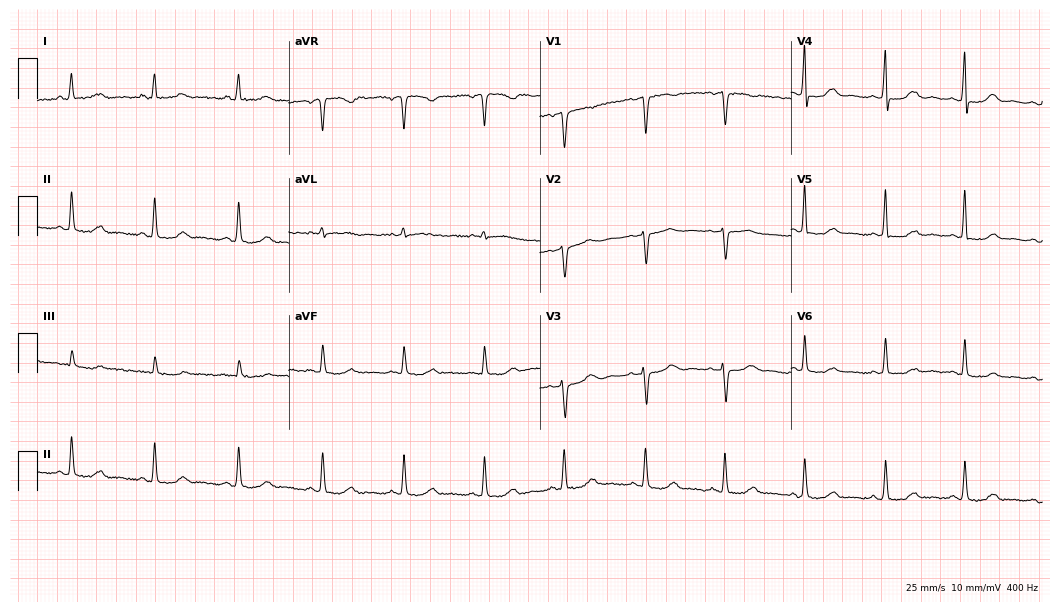
12-lead ECG from a female, 52 years old. Screened for six findings — first-degree AV block, right bundle branch block, left bundle branch block, sinus bradycardia, atrial fibrillation, sinus tachycardia — none is recorded.